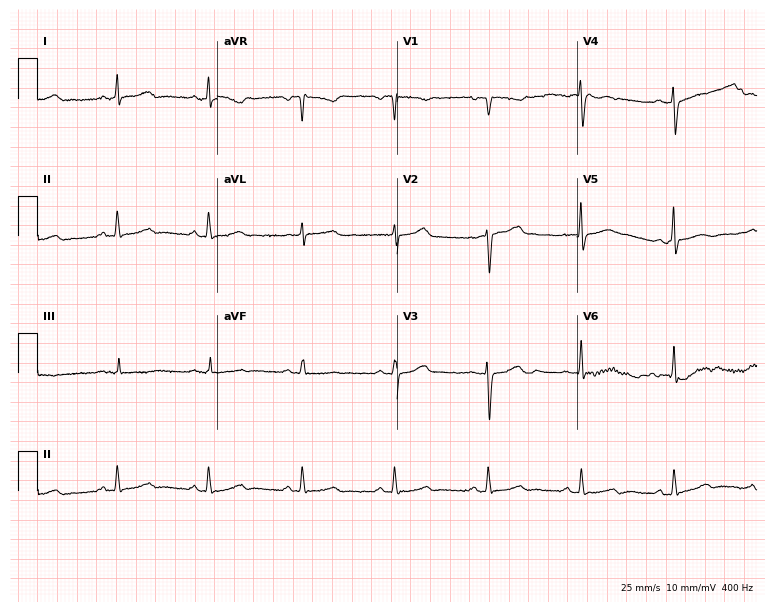
Standard 12-lead ECG recorded from a woman, 49 years old. Read as a normal ECG.